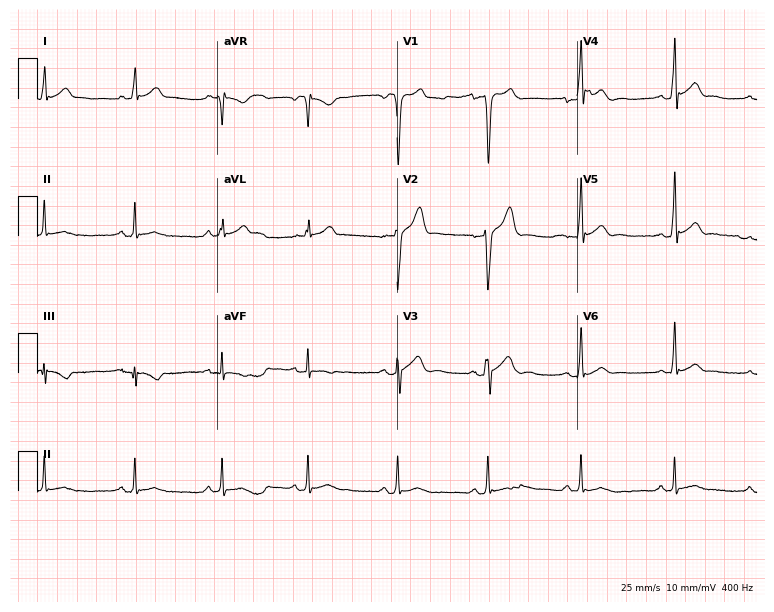
ECG (7.3-second recording at 400 Hz) — a 34-year-old male patient. Labelled as a normal ECG.